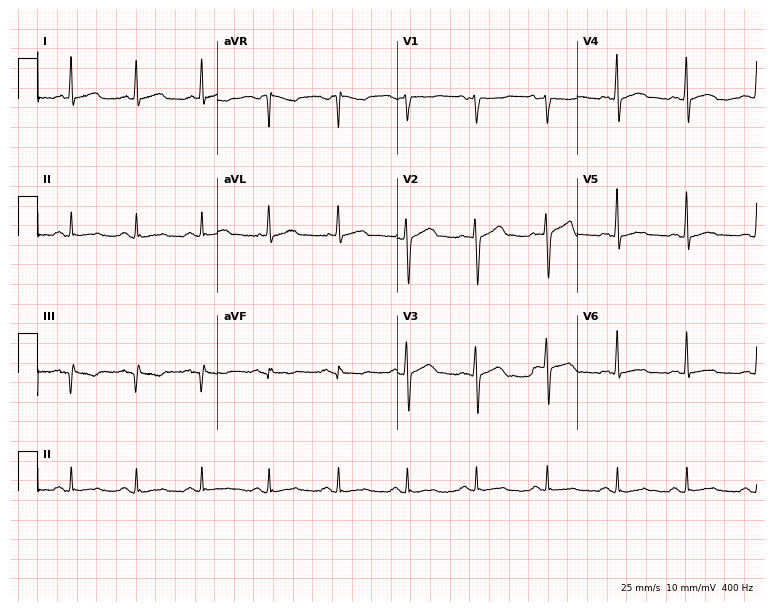
Electrocardiogram, a man, 43 years old. Of the six screened findings (first-degree AV block, right bundle branch block, left bundle branch block, sinus bradycardia, atrial fibrillation, sinus tachycardia), none is recorded. Findings outside these six are not listed.